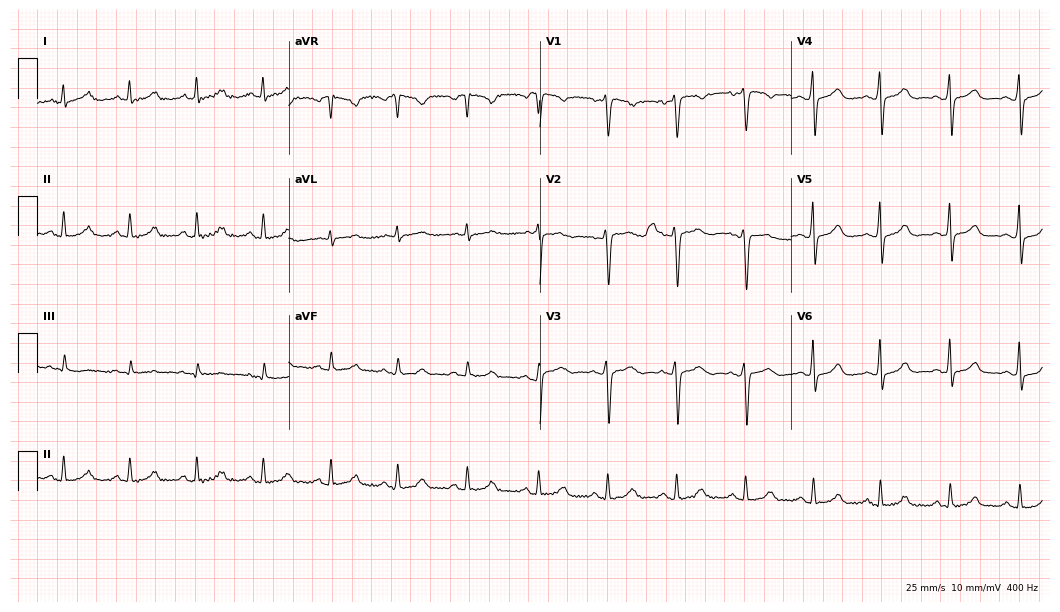
ECG (10.2-second recording at 400 Hz) — a 26-year-old man. Labelled as a normal ECG.